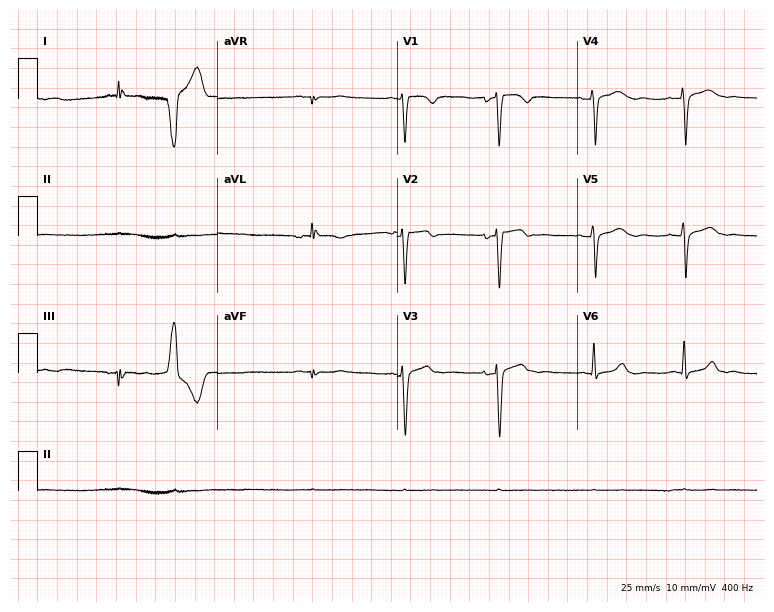
Resting 12-lead electrocardiogram. Patient: a 45-year-old female. None of these six findings is recorded: first-degree AV block, right bundle branch block, left bundle branch block, sinus bradycardia, atrial fibrillation, sinus tachycardia. Other findings, if any, are not listed.